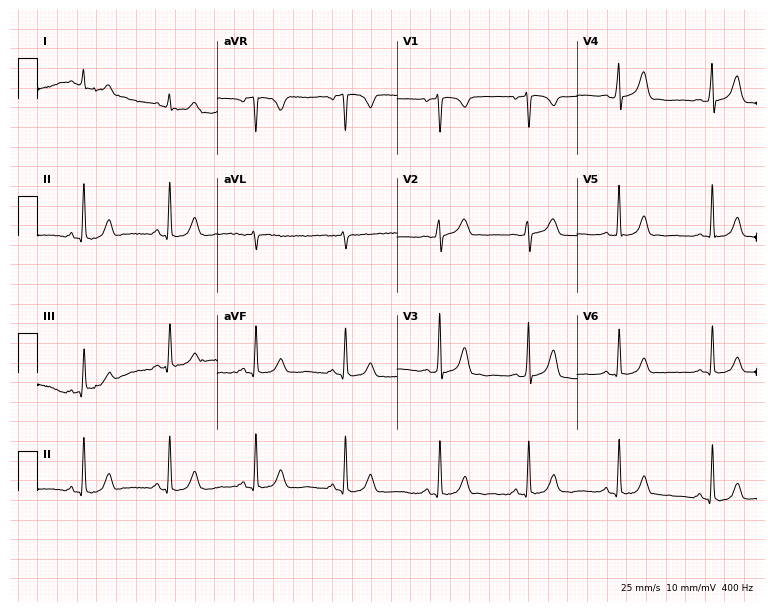
Resting 12-lead electrocardiogram (7.3-second recording at 400 Hz). Patient: a female, 45 years old. None of these six findings is recorded: first-degree AV block, right bundle branch block, left bundle branch block, sinus bradycardia, atrial fibrillation, sinus tachycardia. Only these six findings were labelled.